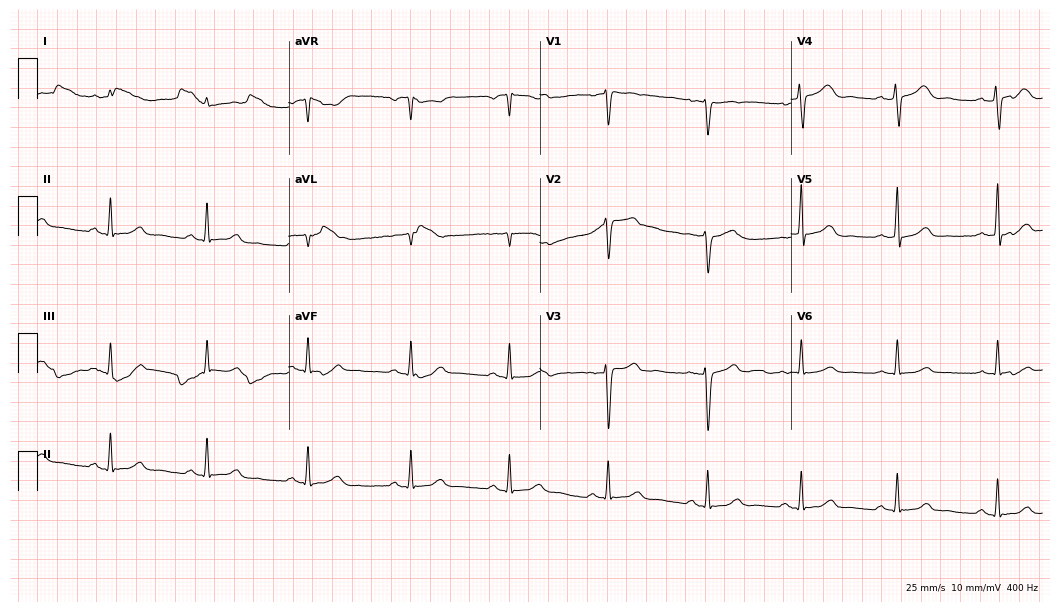
Standard 12-lead ECG recorded from a 51-year-old female patient. Read as a normal ECG.